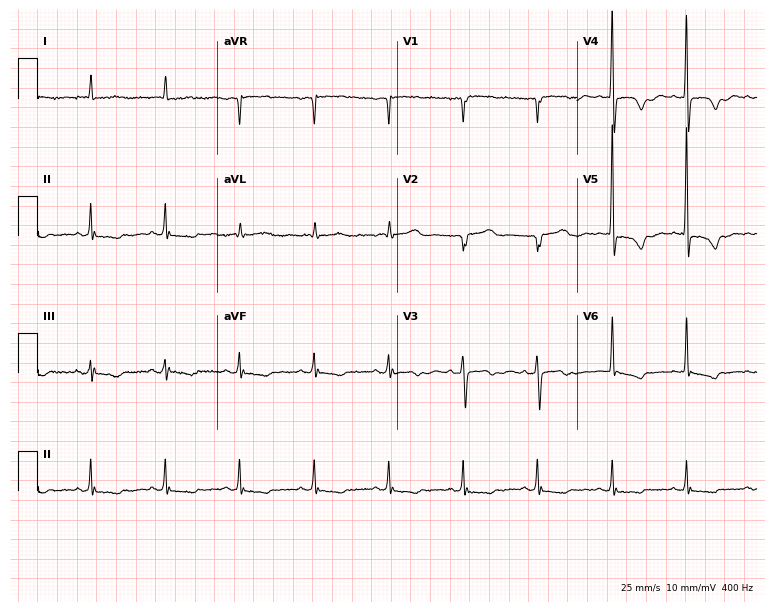
Resting 12-lead electrocardiogram. Patient: an 80-year-old female. None of these six findings is recorded: first-degree AV block, right bundle branch block, left bundle branch block, sinus bradycardia, atrial fibrillation, sinus tachycardia. Findings outside these six are not listed.